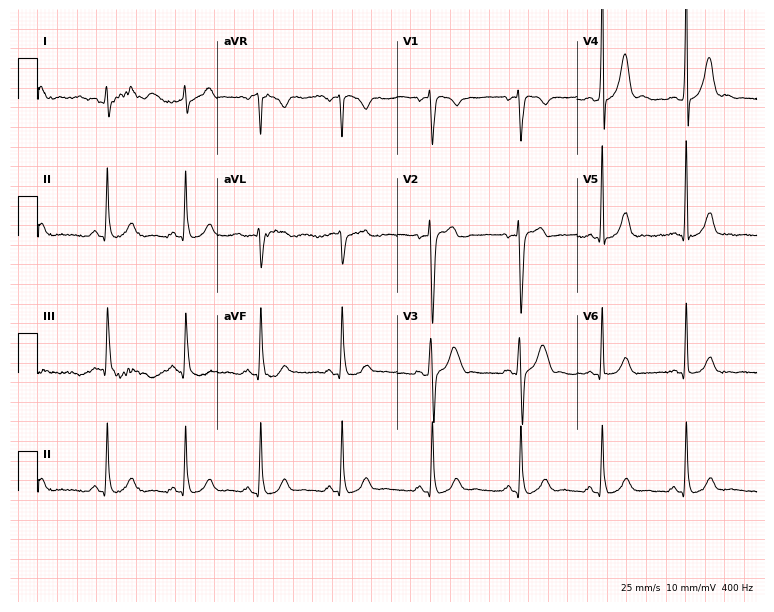
12-lead ECG (7.3-second recording at 400 Hz) from a 24-year-old male patient. Labelled as a normal ECG.